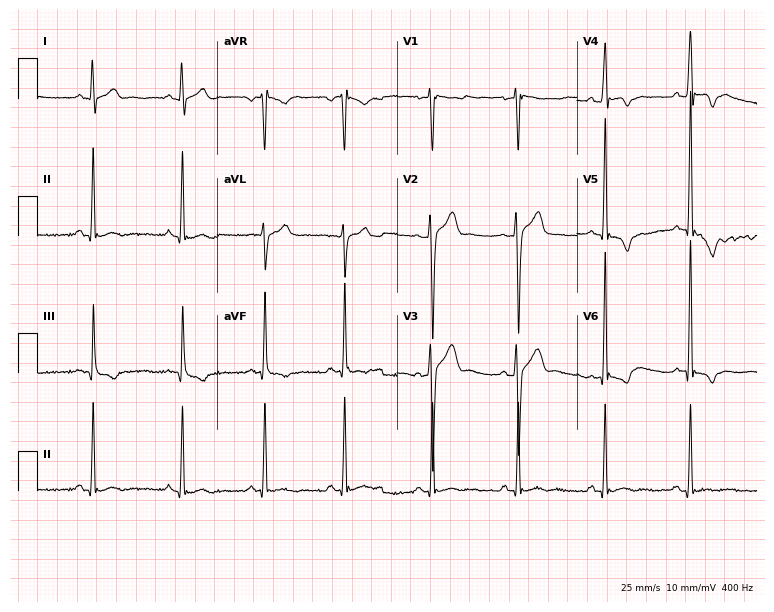
ECG — a 24-year-old male patient. Screened for six findings — first-degree AV block, right bundle branch block, left bundle branch block, sinus bradycardia, atrial fibrillation, sinus tachycardia — none is recorded.